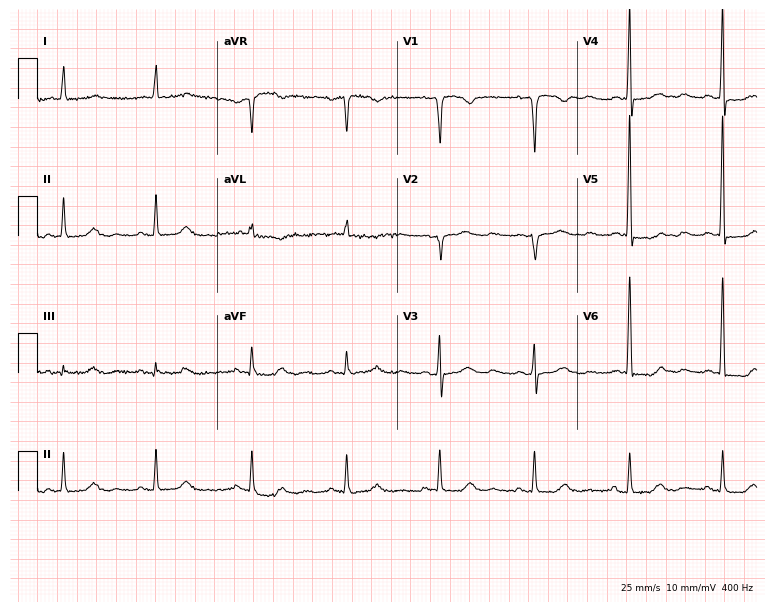
Electrocardiogram, an 81-year-old woman. Of the six screened findings (first-degree AV block, right bundle branch block, left bundle branch block, sinus bradycardia, atrial fibrillation, sinus tachycardia), none is recorded. Other findings, if any, are not listed.